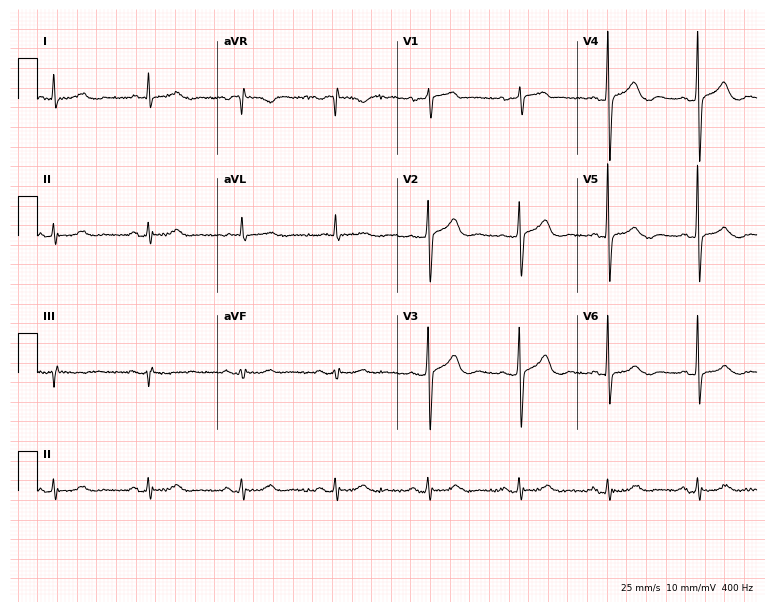
12-lead ECG (7.3-second recording at 400 Hz) from a female patient, 77 years old. Labelled as a normal ECG.